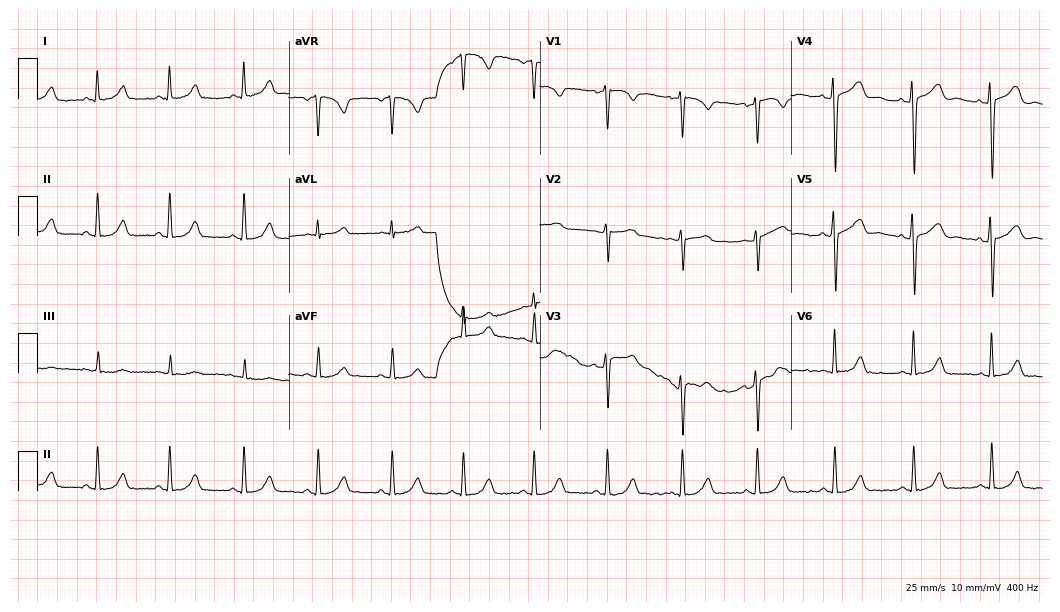
Standard 12-lead ECG recorded from a female patient, 34 years old. None of these six findings is recorded: first-degree AV block, right bundle branch block, left bundle branch block, sinus bradycardia, atrial fibrillation, sinus tachycardia. Only these six findings were labelled.